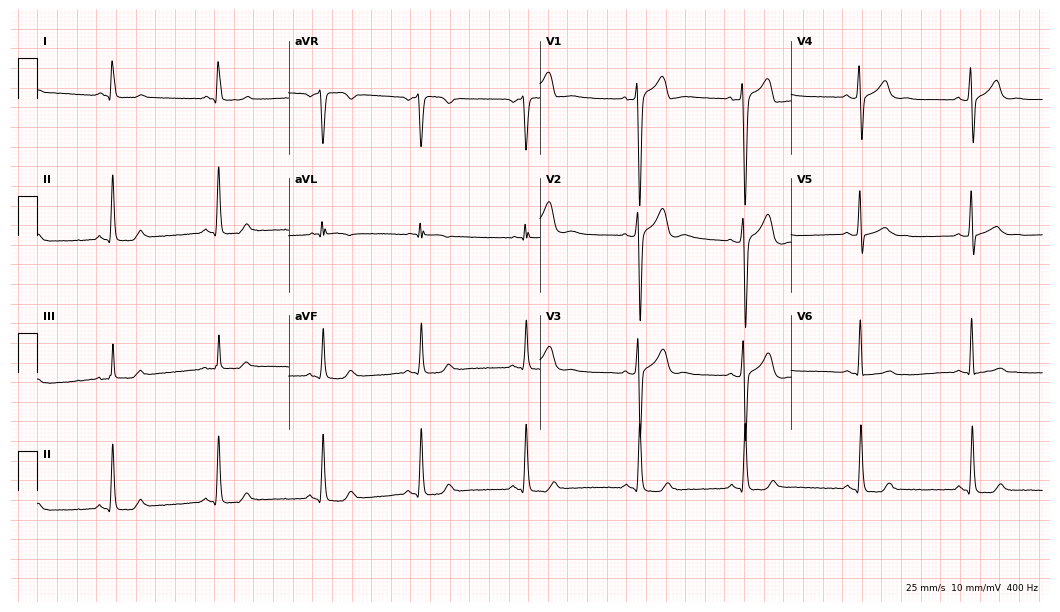
Standard 12-lead ECG recorded from a male patient, 31 years old (10.2-second recording at 400 Hz). None of these six findings is recorded: first-degree AV block, right bundle branch block (RBBB), left bundle branch block (LBBB), sinus bradycardia, atrial fibrillation (AF), sinus tachycardia. Only these six findings were labelled.